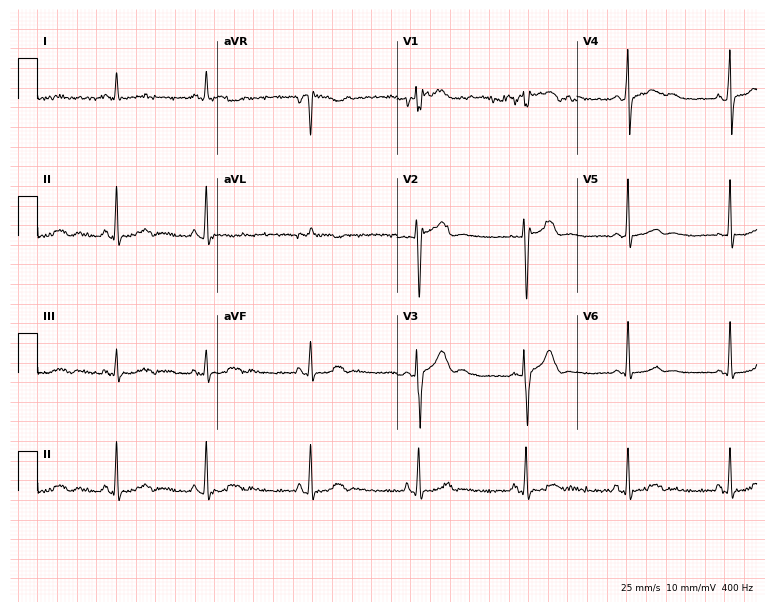
ECG (7.3-second recording at 400 Hz) — a man, 34 years old. Screened for six findings — first-degree AV block, right bundle branch block, left bundle branch block, sinus bradycardia, atrial fibrillation, sinus tachycardia — none is recorded. Only these six findings were labelled.